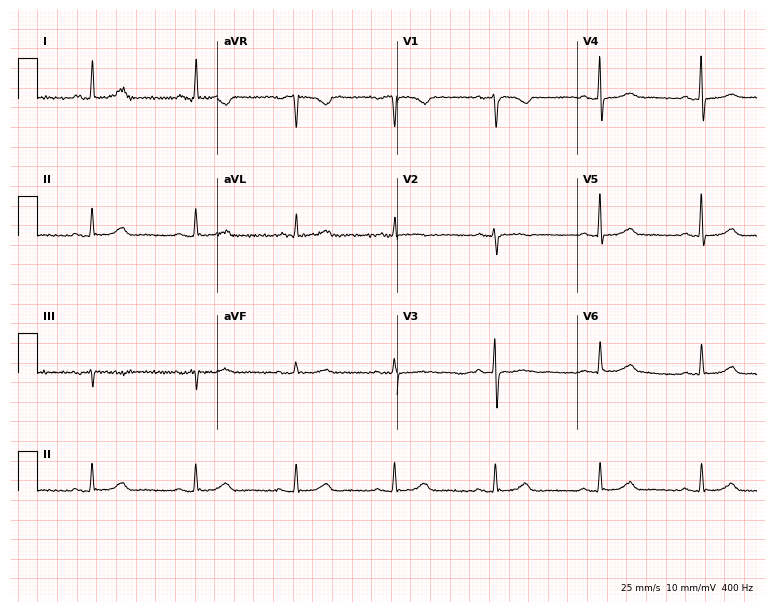
ECG — a female patient, 60 years old. Labelled as a normal ECG.